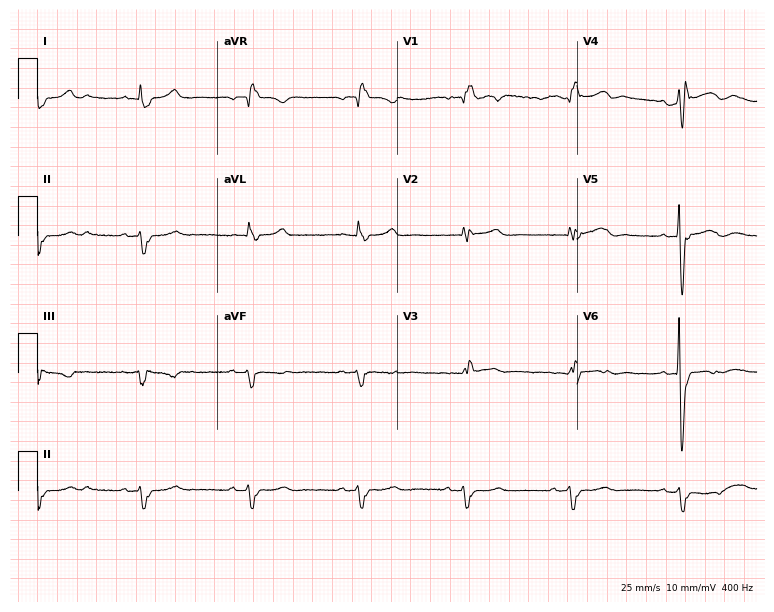
12-lead ECG from a male patient, 78 years old. Shows right bundle branch block (RBBB).